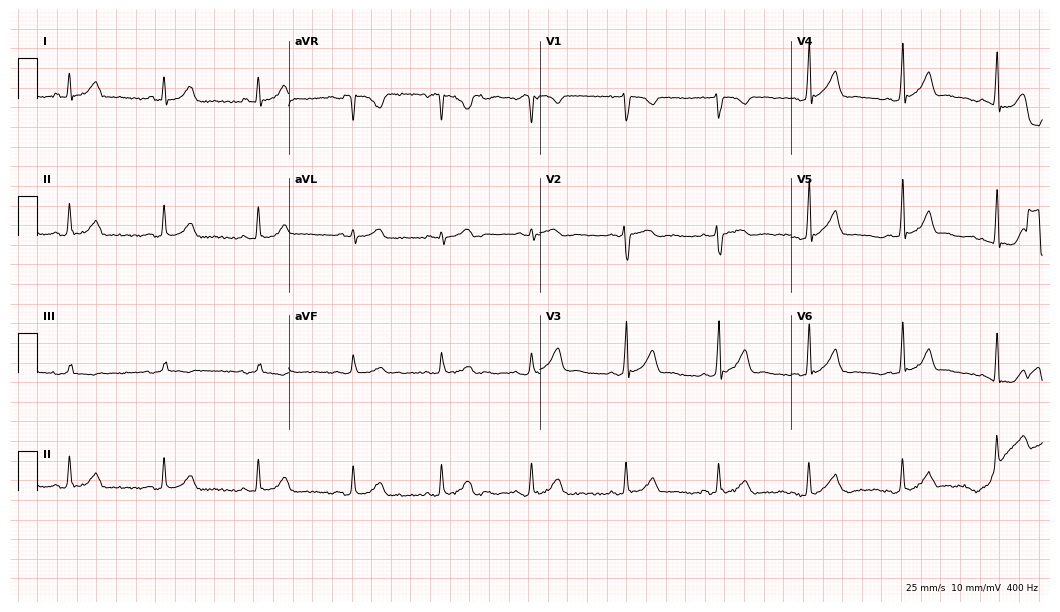
Electrocardiogram, a female patient, 23 years old. Overall reading on record: normal ECG.